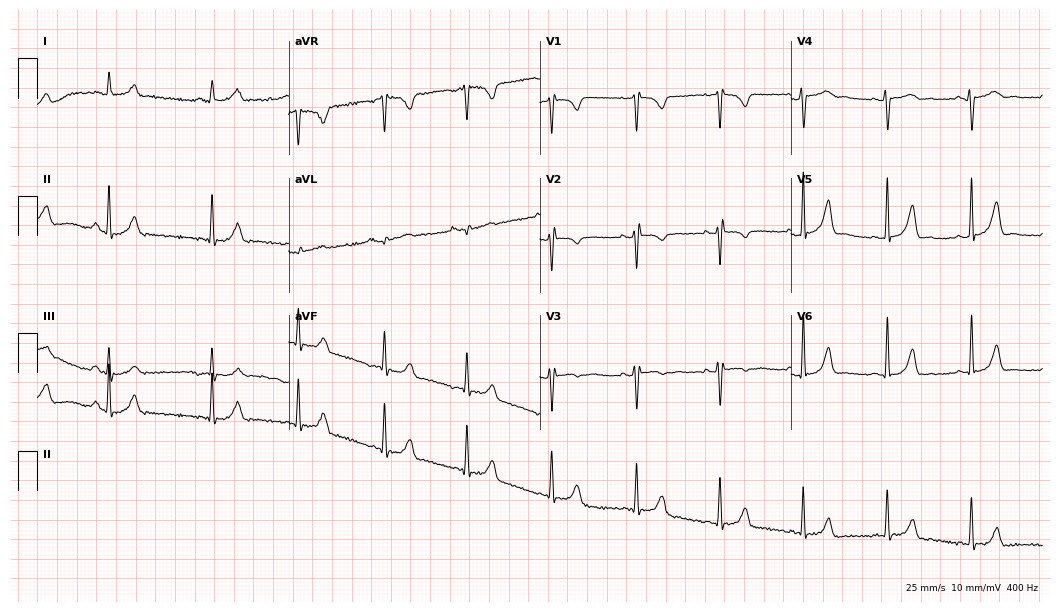
Standard 12-lead ECG recorded from a 31-year-old female (10.2-second recording at 400 Hz). Read as a normal ECG.